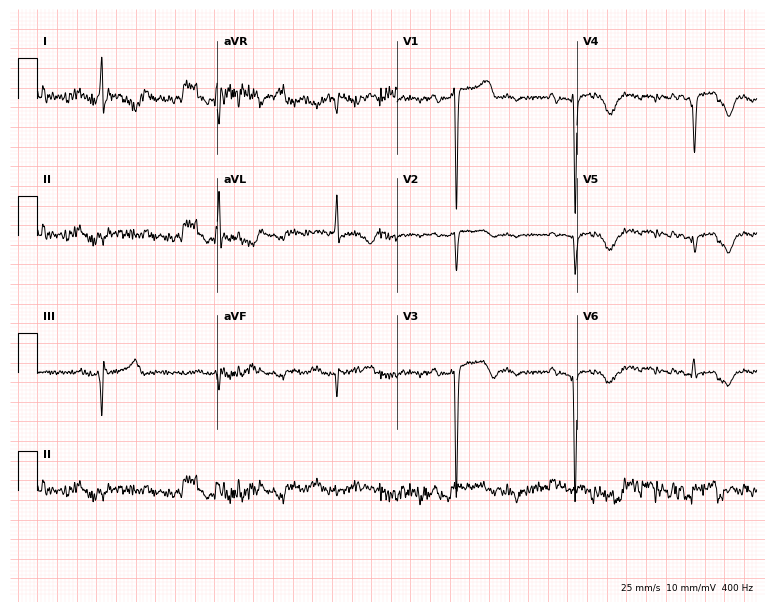
Resting 12-lead electrocardiogram. Patient: a man, 64 years old. None of these six findings is recorded: first-degree AV block, right bundle branch block, left bundle branch block, sinus bradycardia, atrial fibrillation, sinus tachycardia.